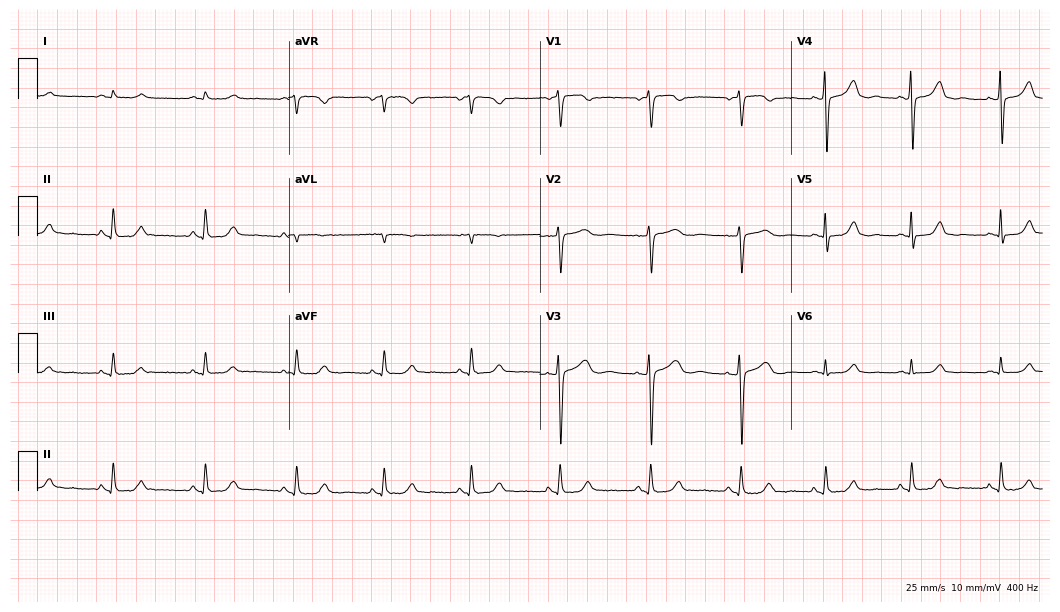
Electrocardiogram, a 52-year-old female patient. Of the six screened findings (first-degree AV block, right bundle branch block, left bundle branch block, sinus bradycardia, atrial fibrillation, sinus tachycardia), none is recorded.